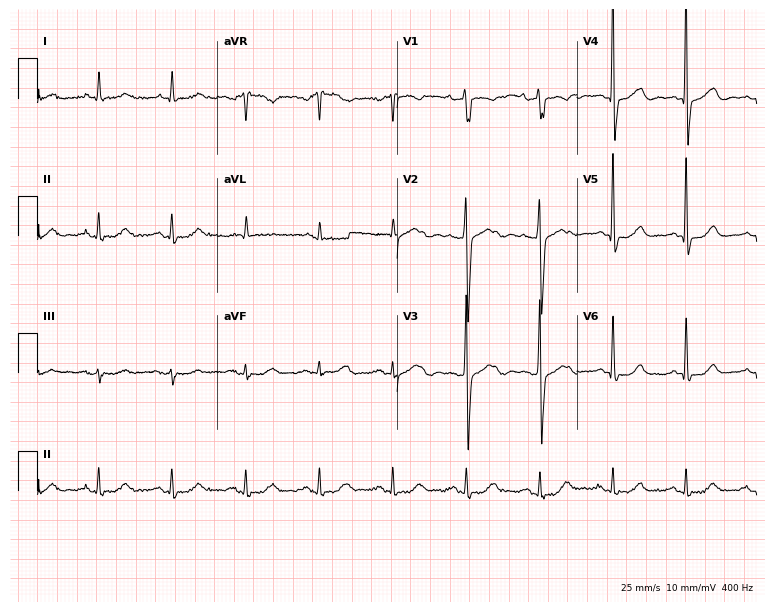
Resting 12-lead electrocardiogram (7.3-second recording at 400 Hz). Patient: a man, 83 years old. None of these six findings is recorded: first-degree AV block, right bundle branch block, left bundle branch block, sinus bradycardia, atrial fibrillation, sinus tachycardia. Only these six findings were labelled.